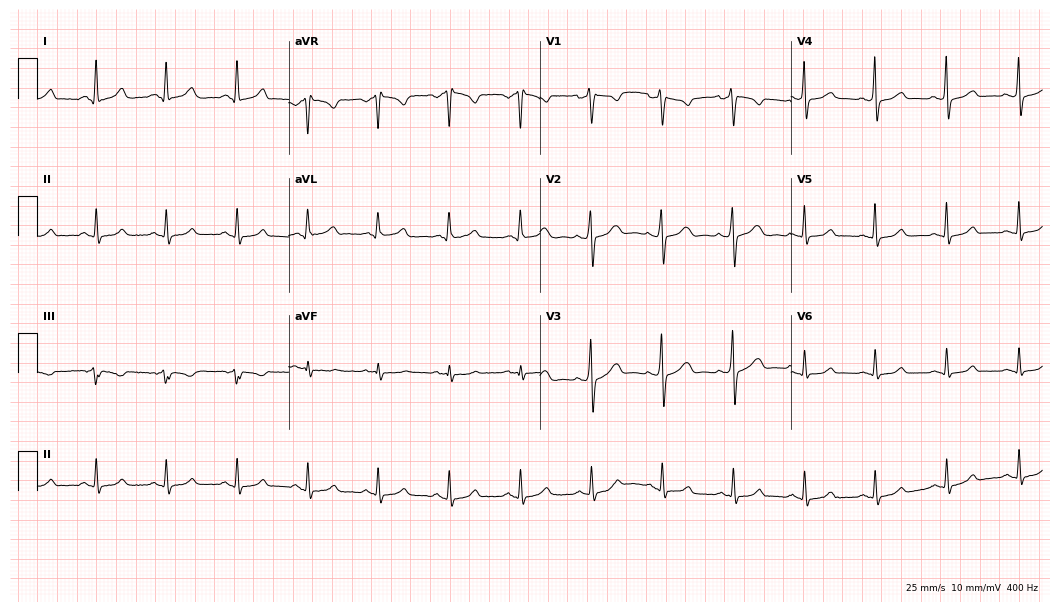
12-lead ECG from a female patient, 31 years old (10.2-second recording at 400 Hz). Recorded interpretation: within normal limits.